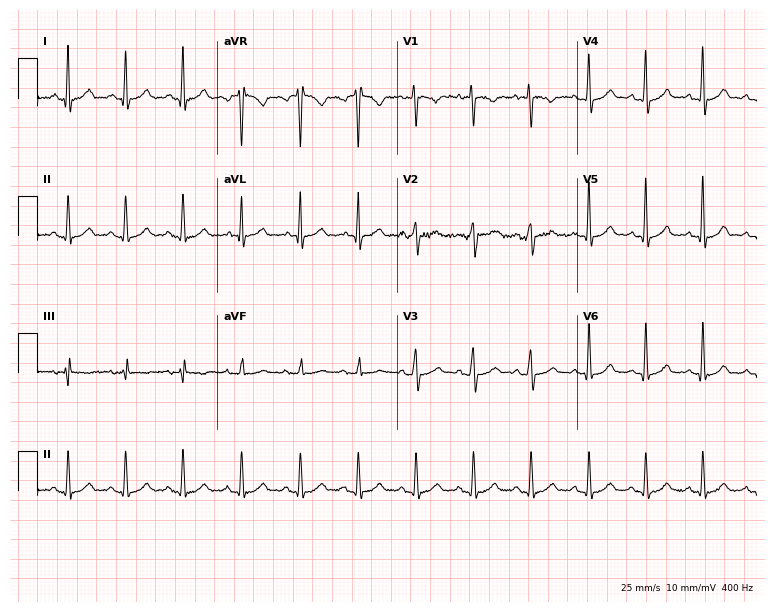
12-lead ECG (7.3-second recording at 400 Hz) from a 23-year-old female. Labelled as a normal ECG.